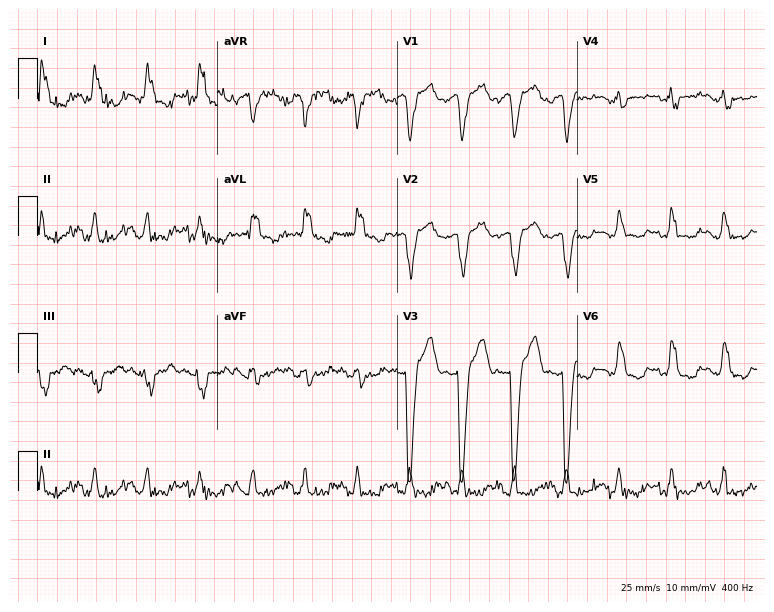
12-lead ECG (7.3-second recording at 400 Hz) from a 63-year-old female patient. Findings include left bundle branch block, sinus tachycardia (a sinus rate of 100 beats per minute or more).